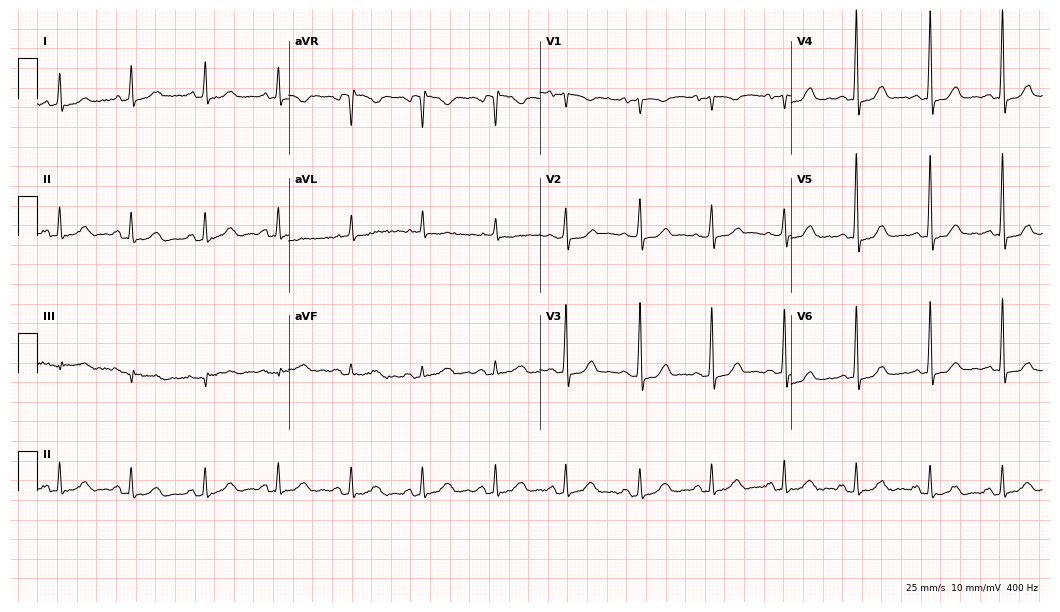
ECG (10.2-second recording at 400 Hz) — a woman, 64 years old. Screened for six findings — first-degree AV block, right bundle branch block, left bundle branch block, sinus bradycardia, atrial fibrillation, sinus tachycardia — none is recorded.